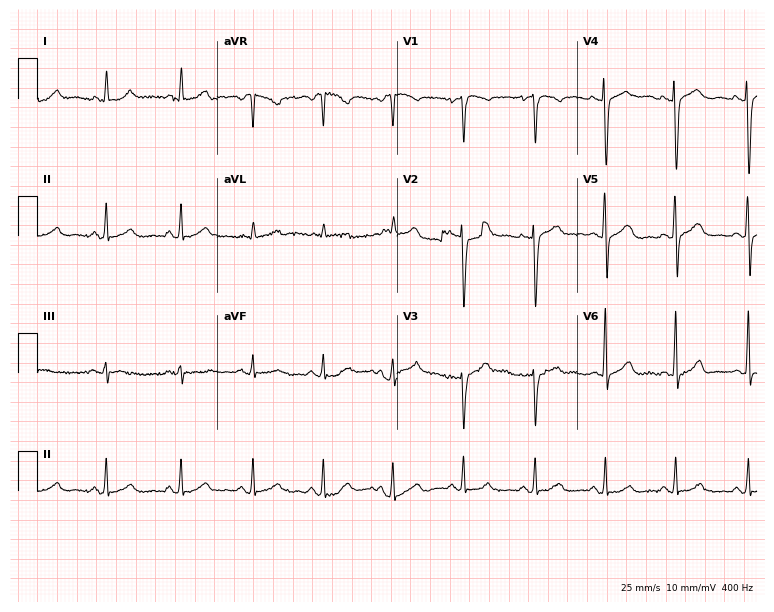
Standard 12-lead ECG recorded from a woman, 45 years old. Read as a normal ECG.